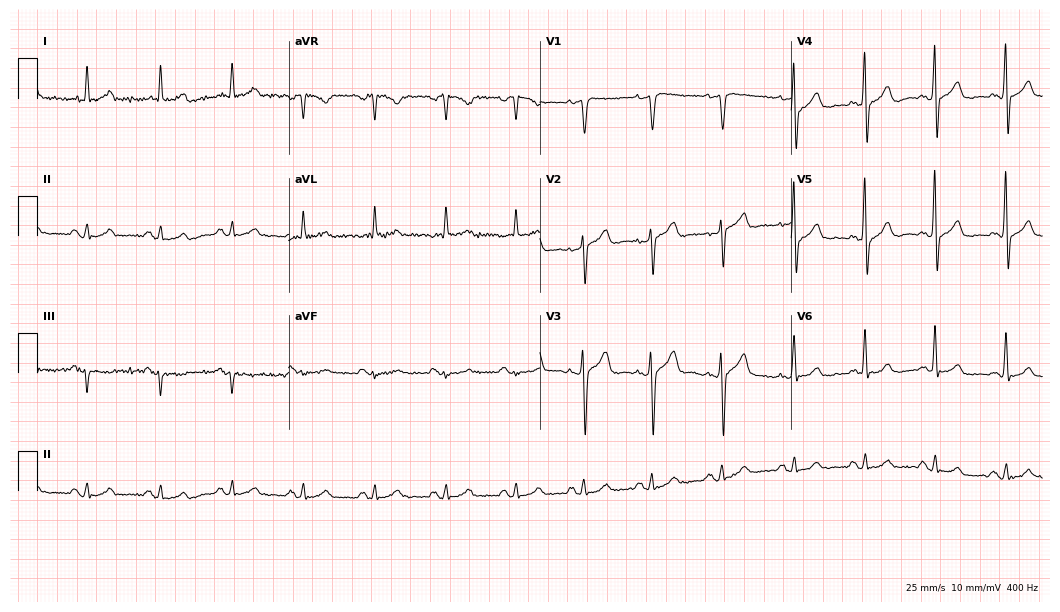
Resting 12-lead electrocardiogram (10.2-second recording at 400 Hz). Patient: a 74-year-old man. Read as a normal ECG.